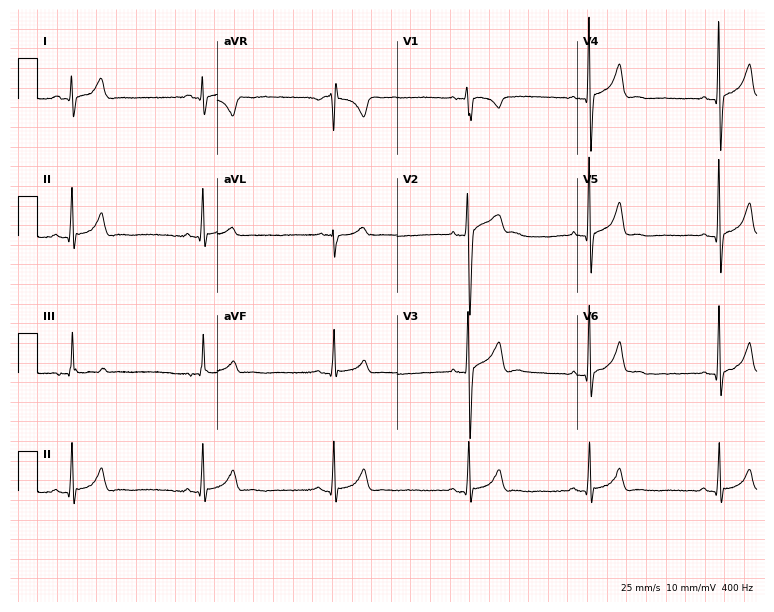
Standard 12-lead ECG recorded from a 19-year-old male. The tracing shows sinus bradycardia (a sinus rate of 50 beats per minute or less).